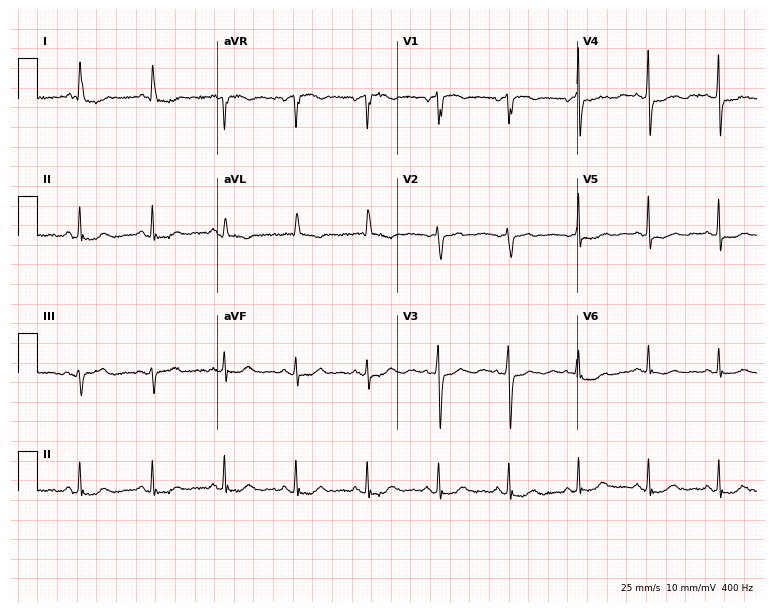
Resting 12-lead electrocardiogram. Patient: a female, 76 years old. None of these six findings is recorded: first-degree AV block, right bundle branch block, left bundle branch block, sinus bradycardia, atrial fibrillation, sinus tachycardia. Other findings, if any, are not listed.